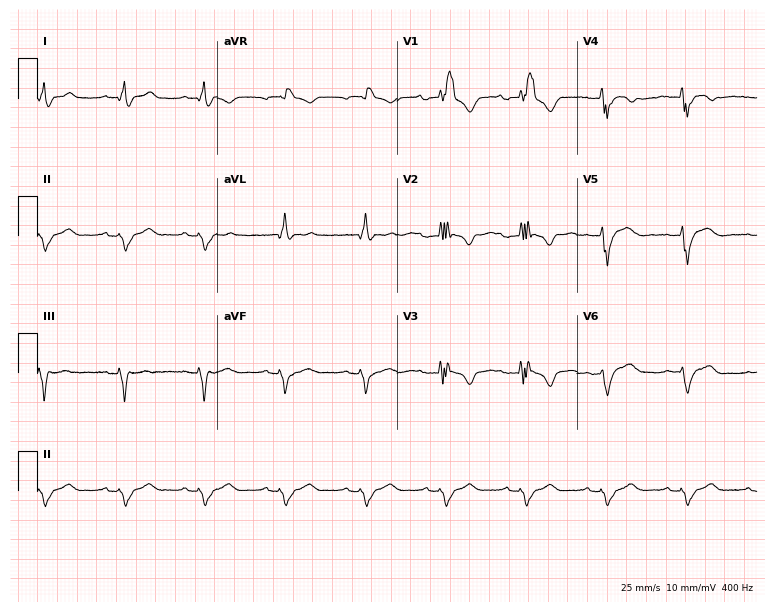
Standard 12-lead ECG recorded from a 40-year-old male patient (7.3-second recording at 400 Hz). The tracing shows right bundle branch block (RBBB).